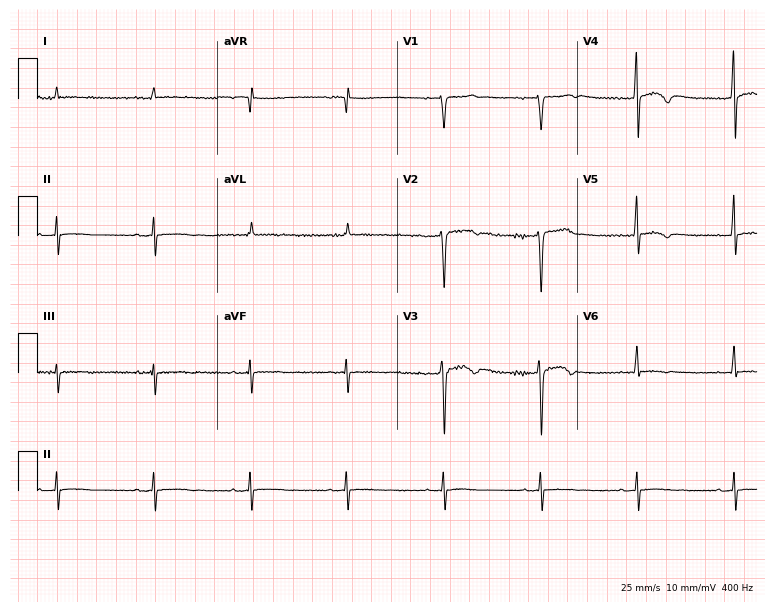
Standard 12-lead ECG recorded from a 46-year-old man (7.3-second recording at 400 Hz). None of these six findings is recorded: first-degree AV block, right bundle branch block, left bundle branch block, sinus bradycardia, atrial fibrillation, sinus tachycardia. Other findings, if any, are not listed.